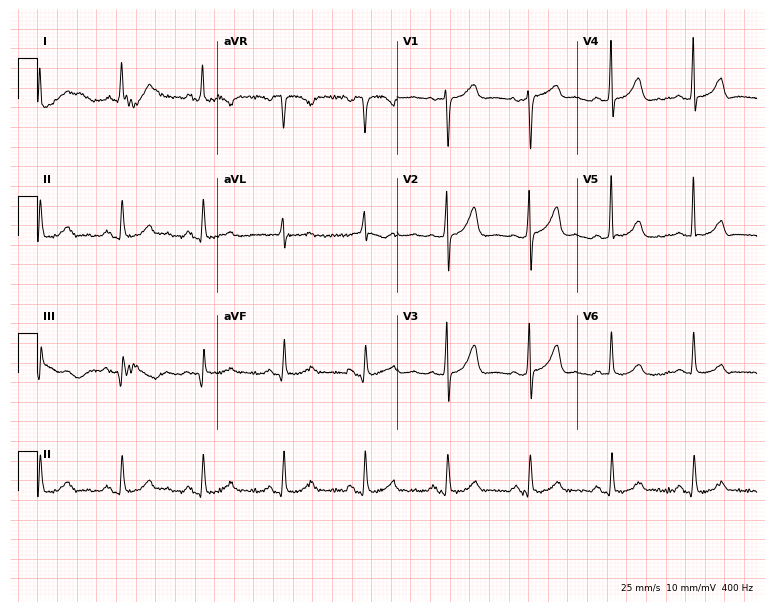
12-lead ECG from a female patient, 72 years old (7.3-second recording at 400 Hz). No first-degree AV block, right bundle branch block (RBBB), left bundle branch block (LBBB), sinus bradycardia, atrial fibrillation (AF) or sinus tachycardia recorded for this tracing. Findings outside these six are not listed.